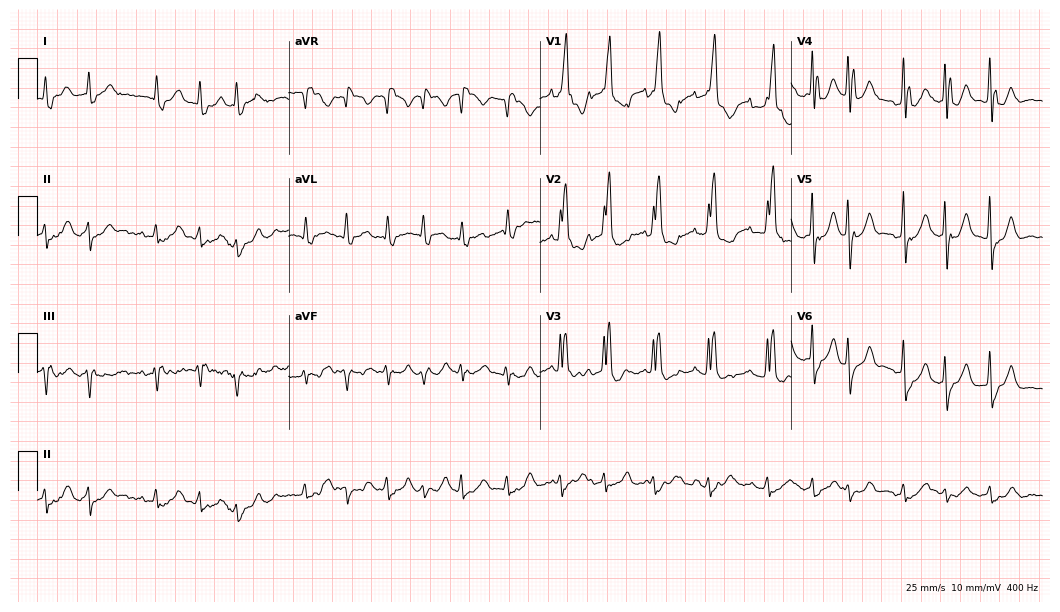
Standard 12-lead ECG recorded from a male patient, 76 years old (10.2-second recording at 400 Hz). The tracing shows right bundle branch block, atrial fibrillation, sinus tachycardia (a sinus rate of 100 beats per minute or more).